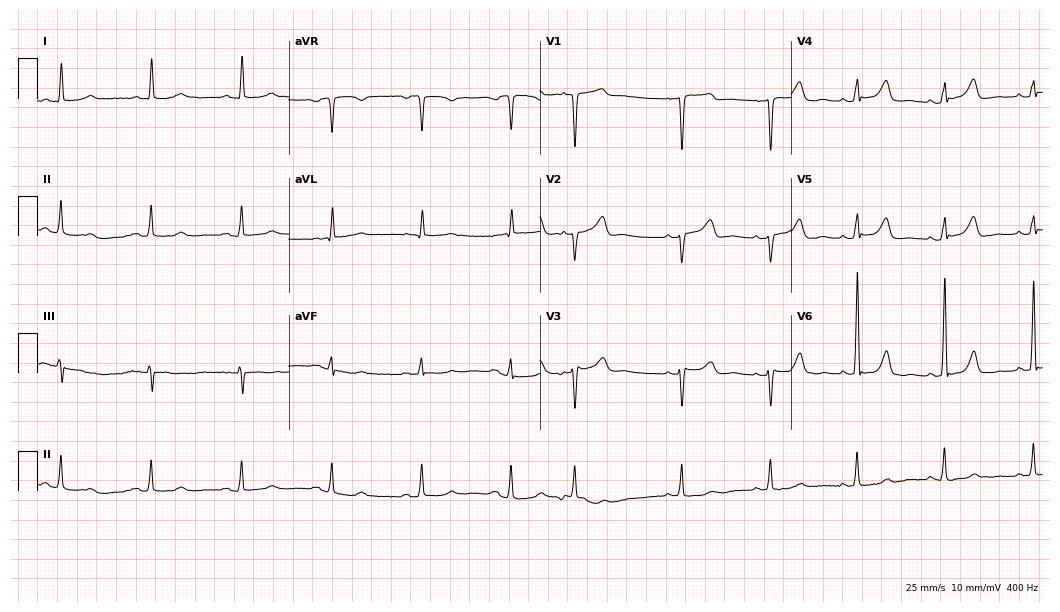
Electrocardiogram (10.2-second recording at 400 Hz), a female, 79 years old. Of the six screened findings (first-degree AV block, right bundle branch block (RBBB), left bundle branch block (LBBB), sinus bradycardia, atrial fibrillation (AF), sinus tachycardia), none is recorded.